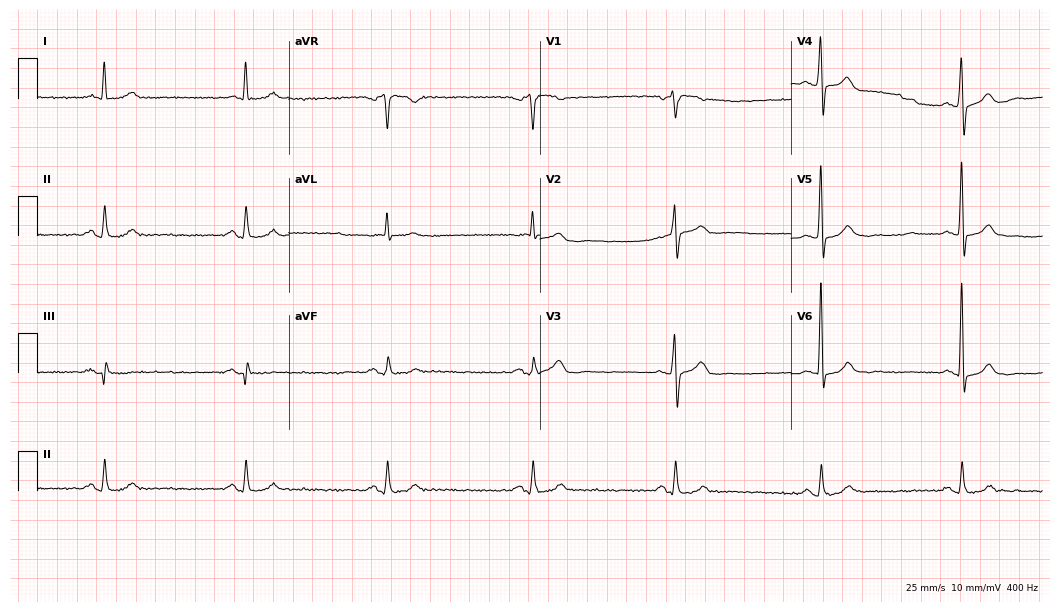
12-lead ECG (10.2-second recording at 400 Hz) from a 77-year-old man. Screened for six findings — first-degree AV block, right bundle branch block, left bundle branch block, sinus bradycardia, atrial fibrillation, sinus tachycardia — none is recorded. Other findings, if any, are not listed.